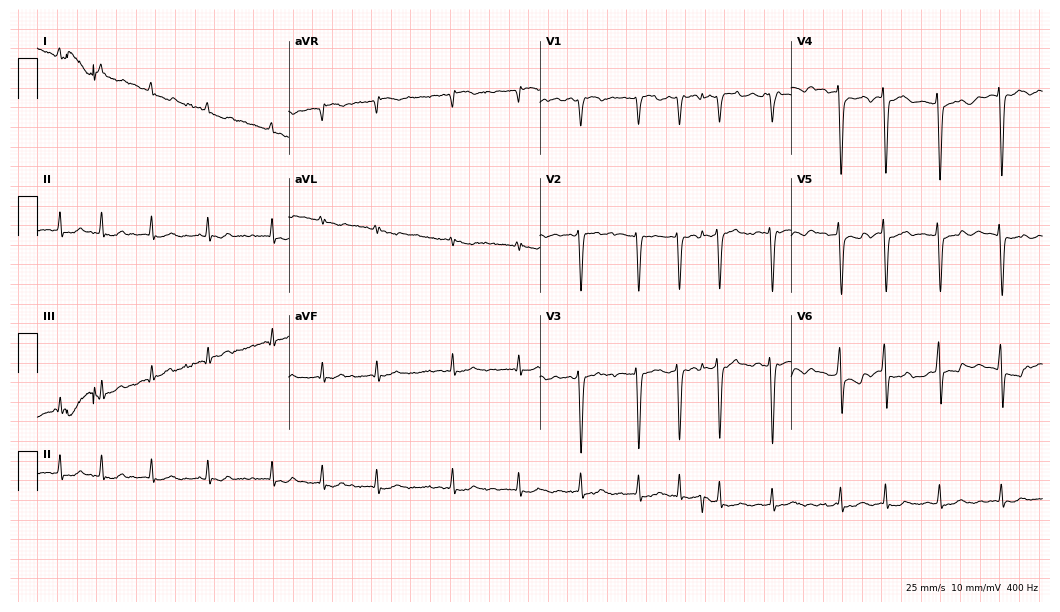
Electrocardiogram (10.2-second recording at 400 Hz), a man, 76 years old. Of the six screened findings (first-degree AV block, right bundle branch block, left bundle branch block, sinus bradycardia, atrial fibrillation, sinus tachycardia), none is recorded. Findings outside these six are not listed.